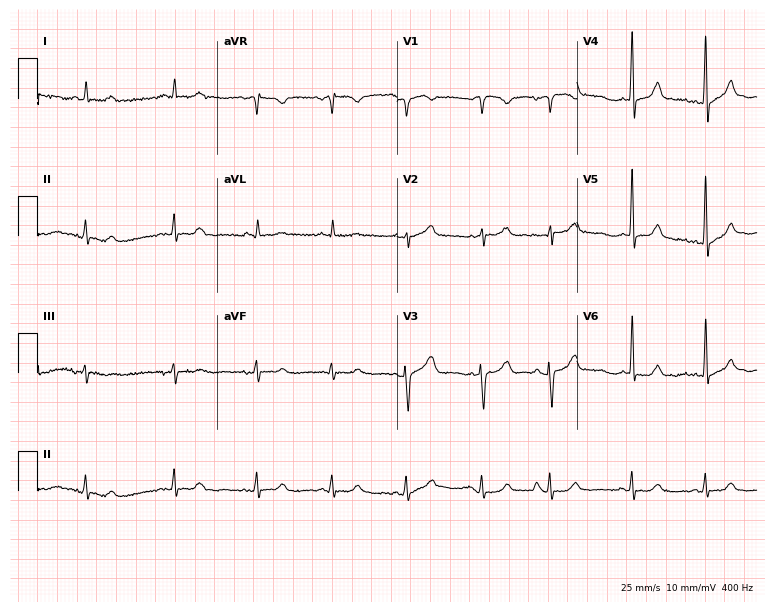
12-lead ECG from a female, 66 years old. No first-degree AV block, right bundle branch block, left bundle branch block, sinus bradycardia, atrial fibrillation or sinus tachycardia recorded for this tracing. Other findings, if any, are not listed.